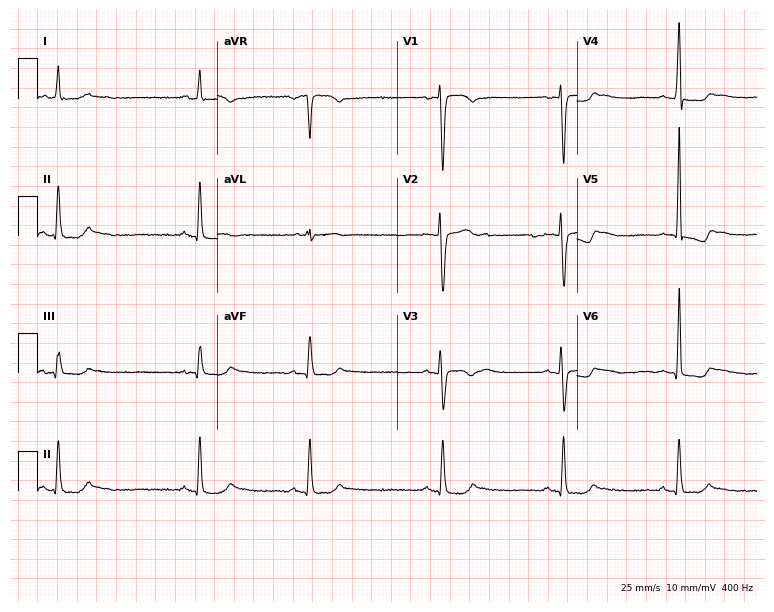
12-lead ECG (7.3-second recording at 400 Hz) from a female patient, 28 years old. Screened for six findings — first-degree AV block, right bundle branch block, left bundle branch block, sinus bradycardia, atrial fibrillation, sinus tachycardia — none is recorded. Only these six findings were labelled.